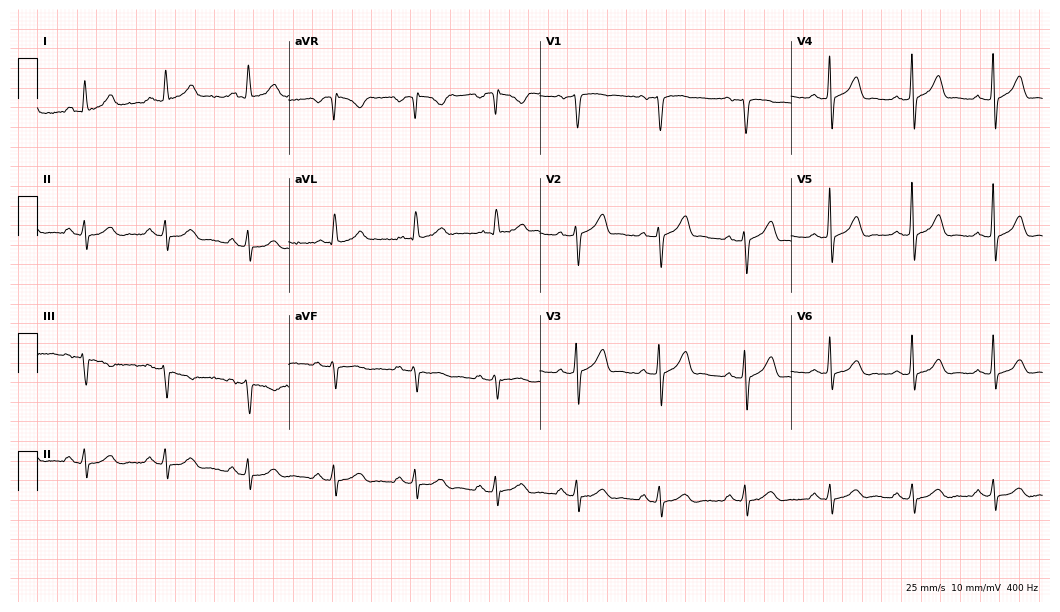
Electrocardiogram (10.2-second recording at 400 Hz), a male patient, 56 years old. Of the six screened findings (first-degree AV block, right bundle branch block (RBBB), left bundle branch block (LBBB), sinus bradycardia, atrial fibrillation (AF), sinus tachycardia), none is recorded.